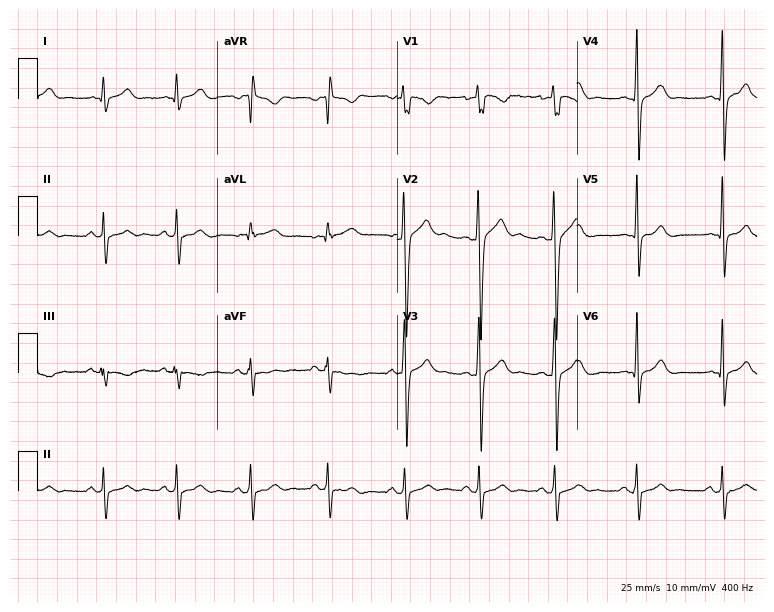
12-lead ECG from a 20-year-old man (7.3-second recording at 400 Hz). No first-degree AV block, right bundle branch block, left bundle branch block, sinus bradycardia, atrial fibrillation or sinus tachycardia recorded for this tracing. Only these six findings were labelled.